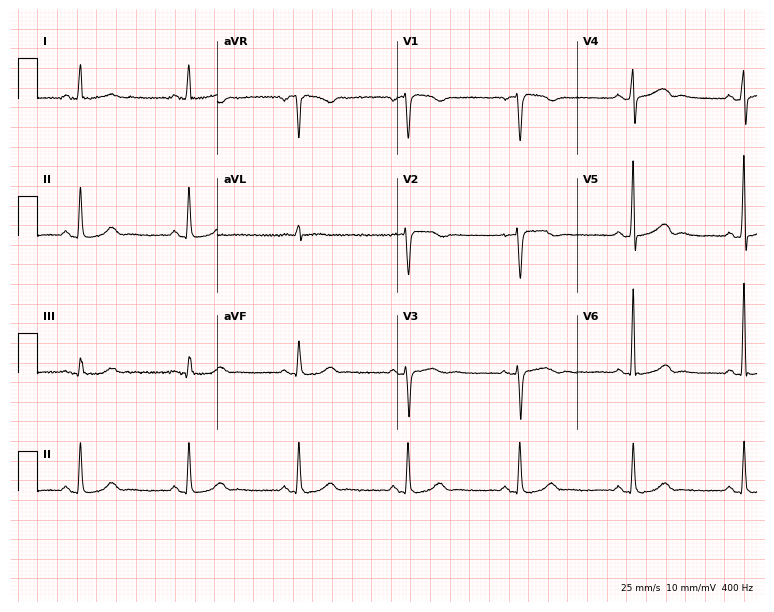
Resting 12-lead electrocardiogram (7.3-second recording at 400 Hz). Patient: a female, 59 years old. Read as a normal ECG.